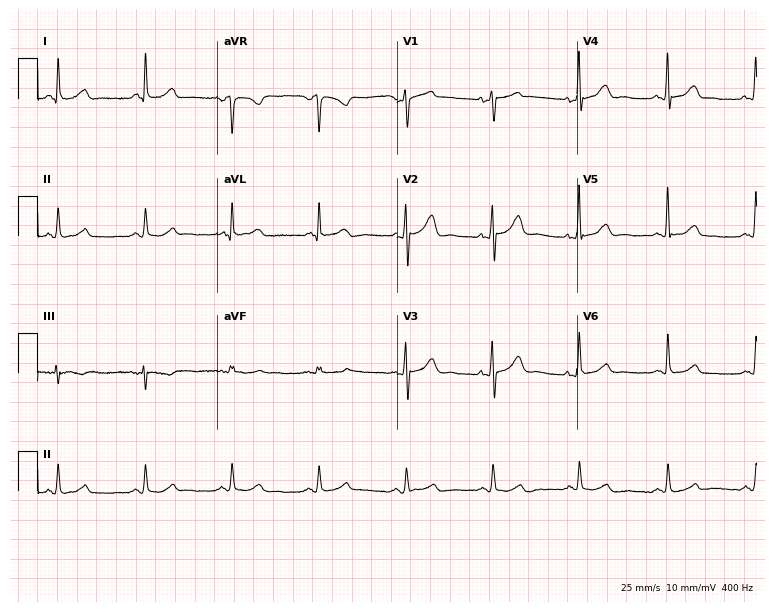
12-lead ECG (7.3-second recording at 400 Hz) from a woman, 61 years old. Labelled as a normal ECG.